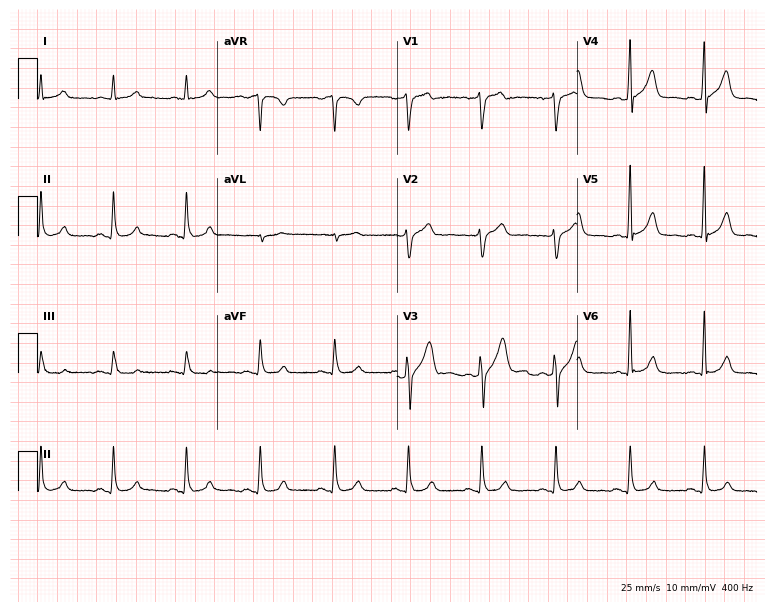
Electrocardiogram (7.3-second recording at 400 Hz), a 51-year-old man. Overall reading on record: normal ECG.